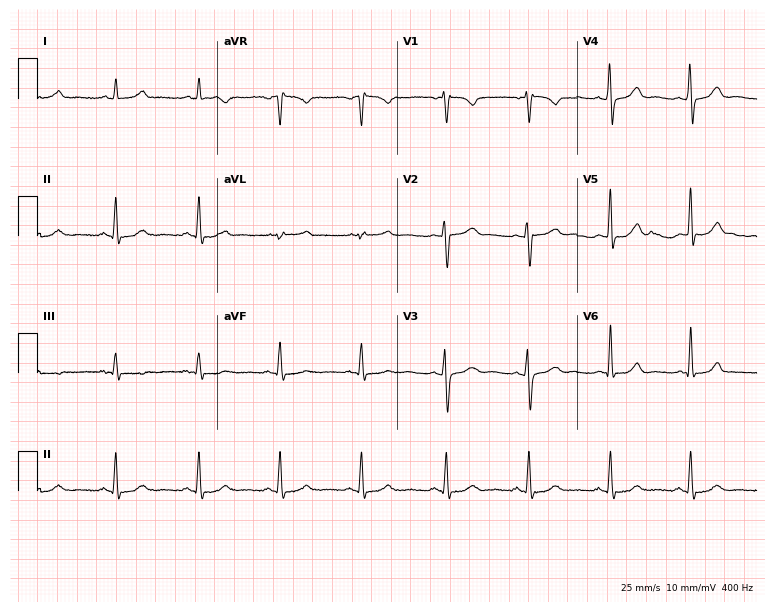
Standard 12-lead ECG recorded from a female patient, 35 years old (7.3-second recording at 400 Hz). Read as a normal ECG.